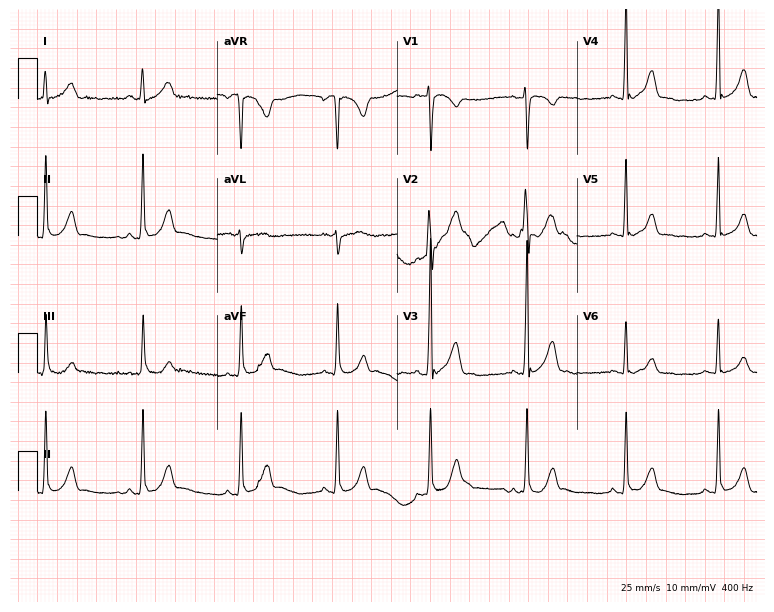
Electrocardiogram (7.3-second recording at 400 Hz), a 22-year-old male patient. Overall reading on record: normal ECG.